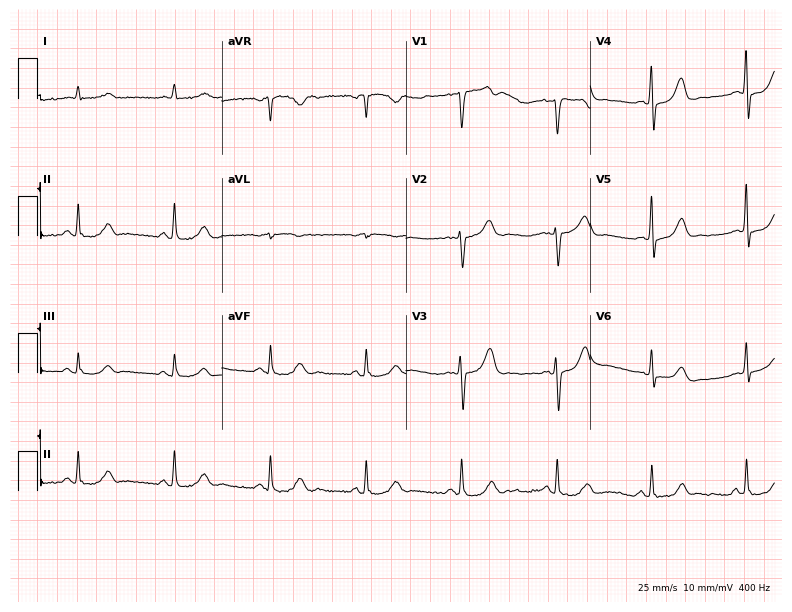
12-lead ECG from a man, 65 years old. Labelled as a normal ECG.